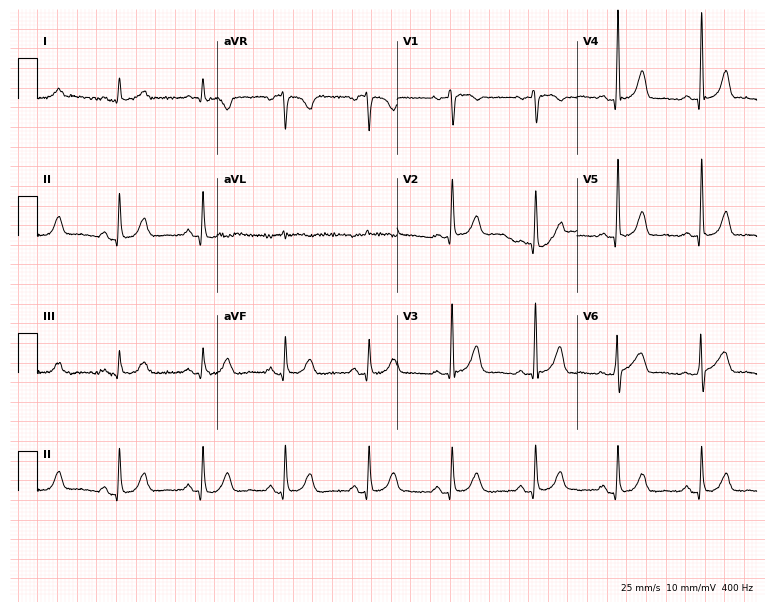
ECG (7.3-second recording at 400 Hz) — a 72-year-old woman. Screened for six findings — first-degree AV block, right bundle branch block (RBBB), left bundle branch block (LBBB), sinus bradycardia, atrial fibrillation (AF), sinus tachycardia — none is recorded. Findings outside these six are not listed.